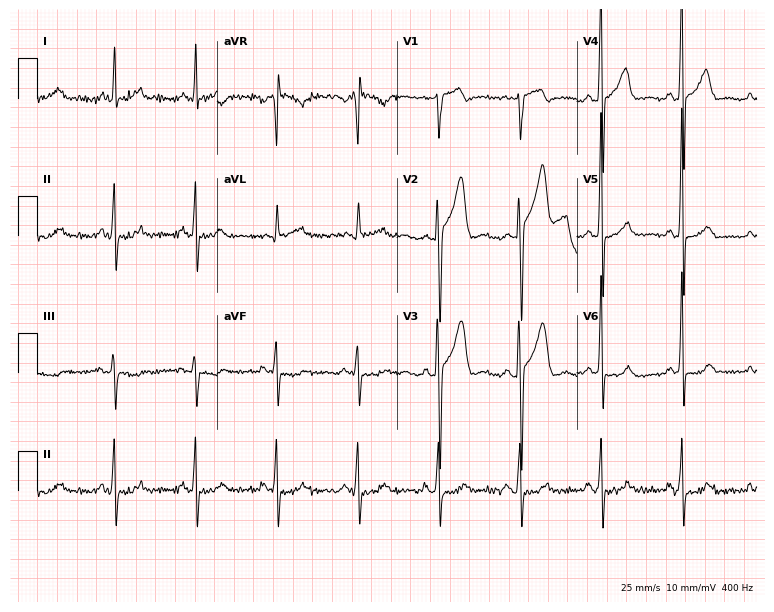
12-lead ECG from a 46-year-old man. Screened for six findings — first-degree AV block, right bundle branch block (RBBB), left bundle branch block (LBBB), sinus bradycardia, atrial fibrillation (AF), sinus tachycardia — none is recorded. Other findings, if any, are not listed.